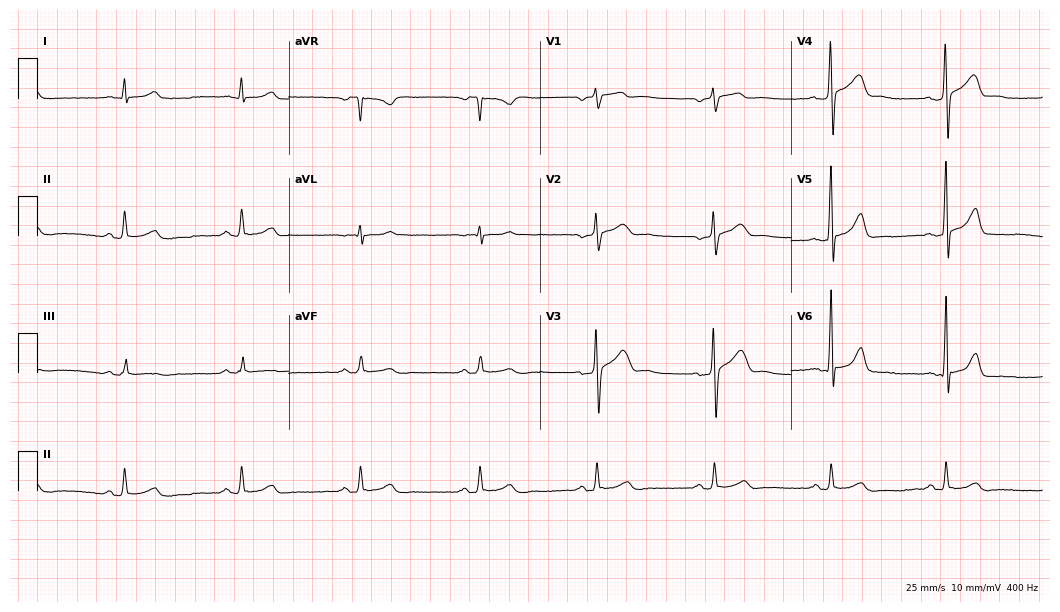
Resting 12-lead electrocardiogram (10.2-second recording at 400 Hz). Patient: a male, 66 years old. Read as a normal ECG.